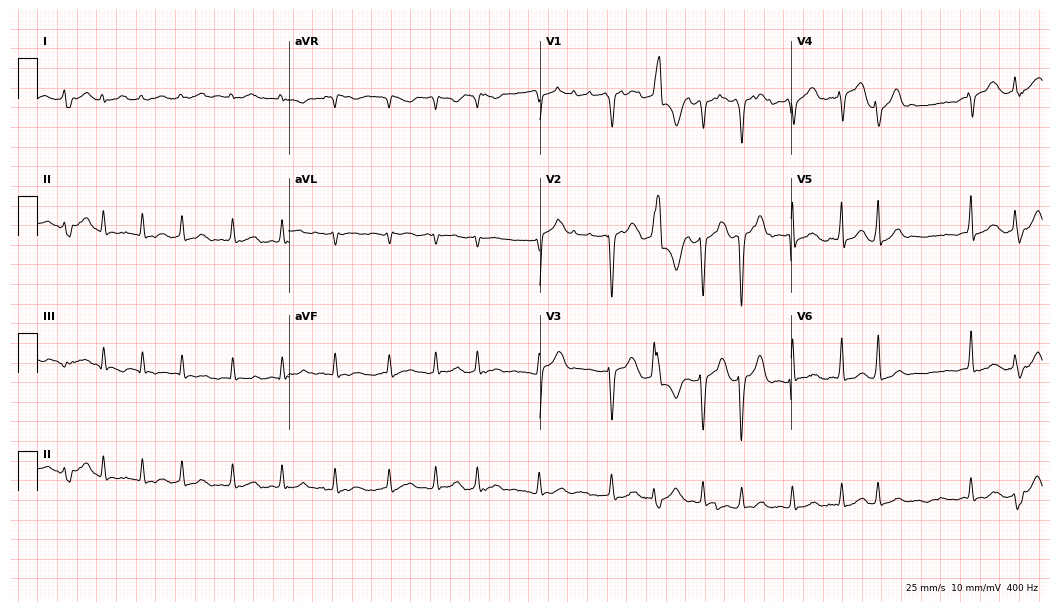
12-lead ECG from a 78-year-old female patient (10.2-second recording at 400 Hz). No first-degree AV block, right bundle branch block (RBBB), left bundle branch block (LBBB), sinus bradycardia, atrial fibrillation (AF) or sinus tachycardia recorded for this tracing.